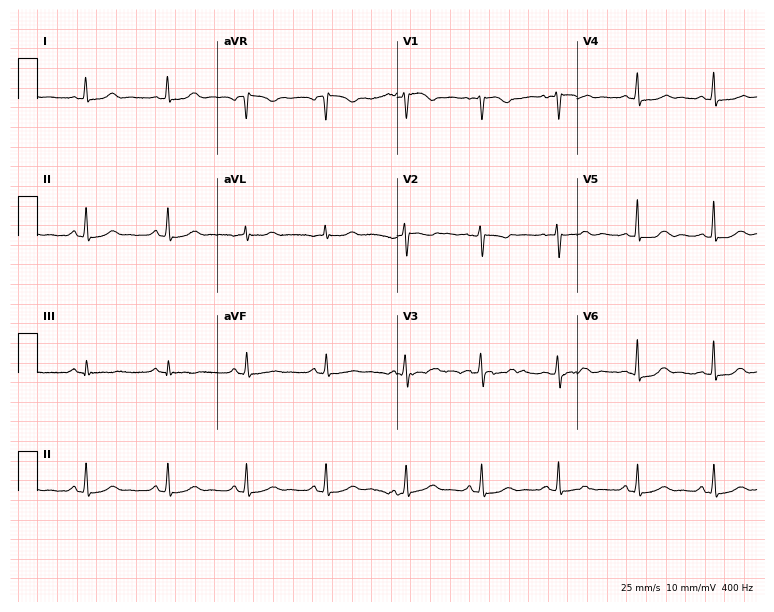
12-lead ECG from a 37-year-old woman (7.3-second recording at 400 Hz). Recorded interpretation: within normal limits.